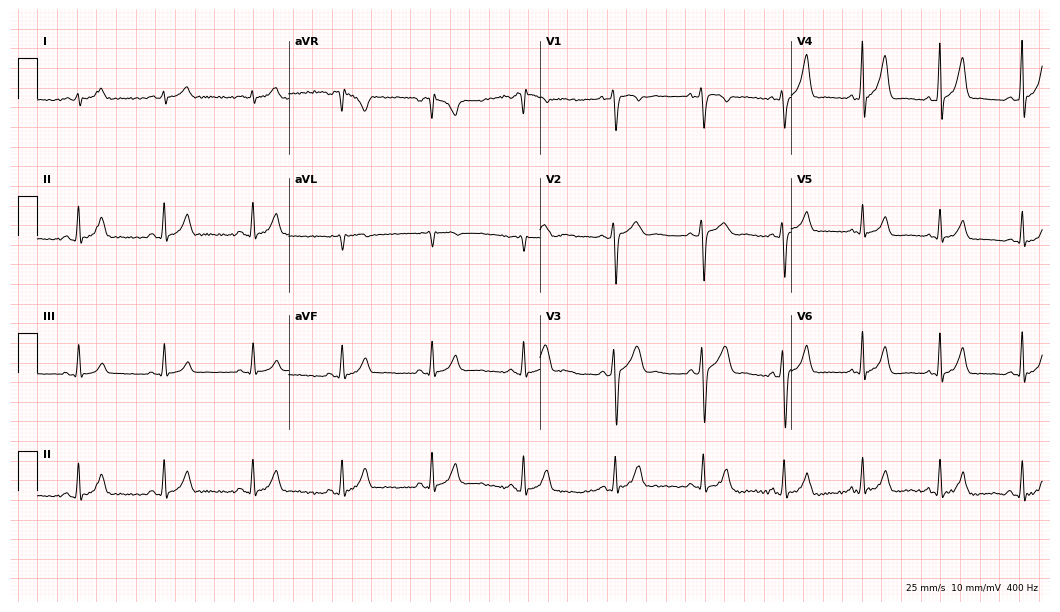
Electrocardiogram (10.2-second recording at 400 Hz), a man, 26 years old. Of the six screened findings (first-degree AV block, right bundle branch block (RBBB), left bundle branch block (LBBB), sinus bradycardia, atrial fibrillation (AF), sinus tachycardia), none is recorded. Findings outside these six are not listed.